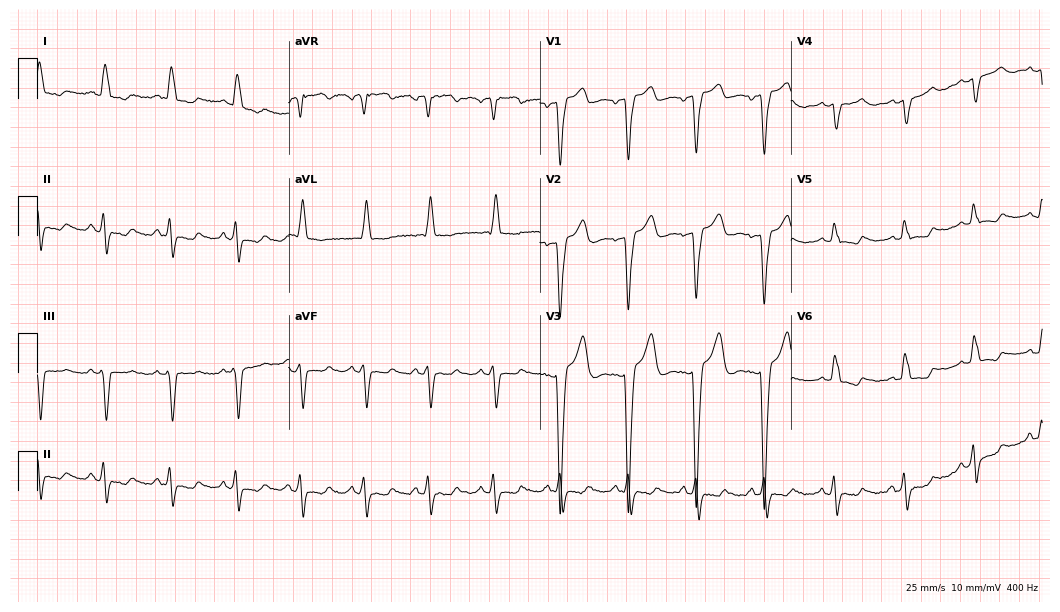
Resting 12-lead electrocardiogram. Patient: a female, 45 years old. The tracing shows left bundle branch block.